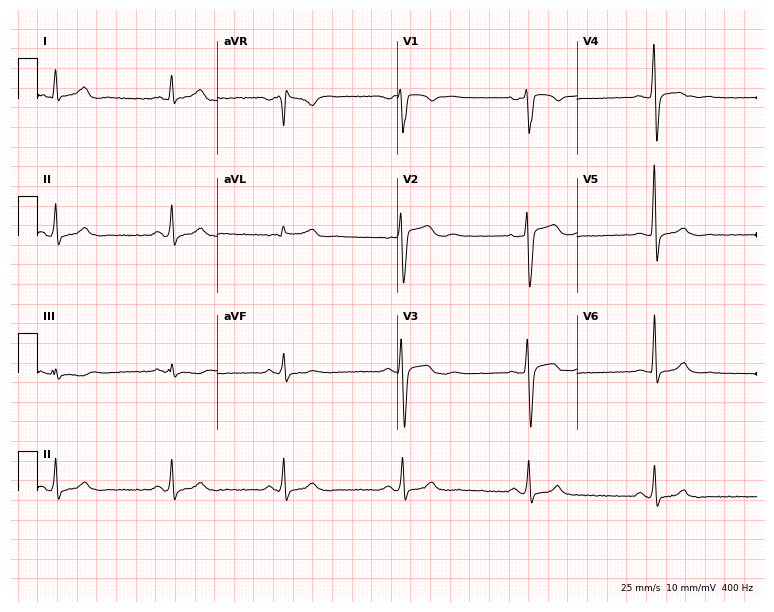
Standard 12-lead ECG recorded from a male patient, 34 years old. None of these six findings is recorded: first-degree AV block, right bundle branch block, left bundle branch block, sinus bradycardia, atrial fibrillation, sinus tachycardia.